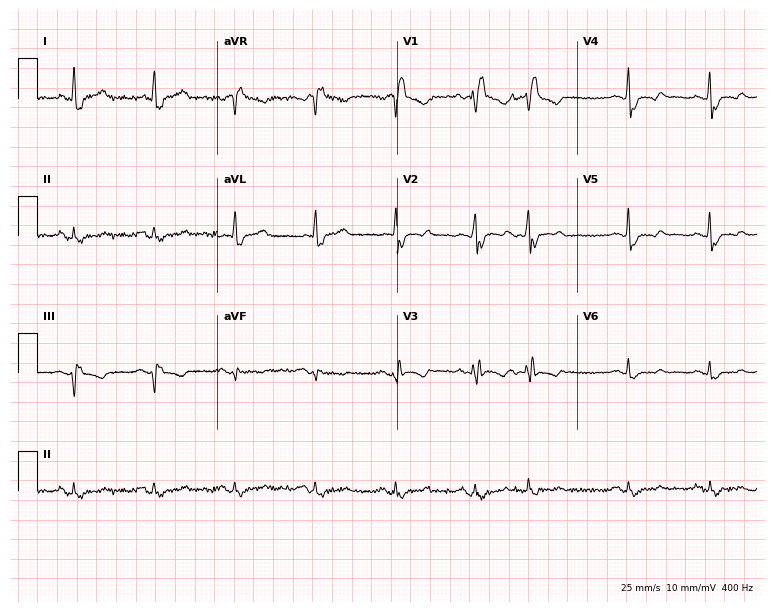
12-lead ECG from a female patient, 58 years old. Findings include right bundle branch block (RBBB).